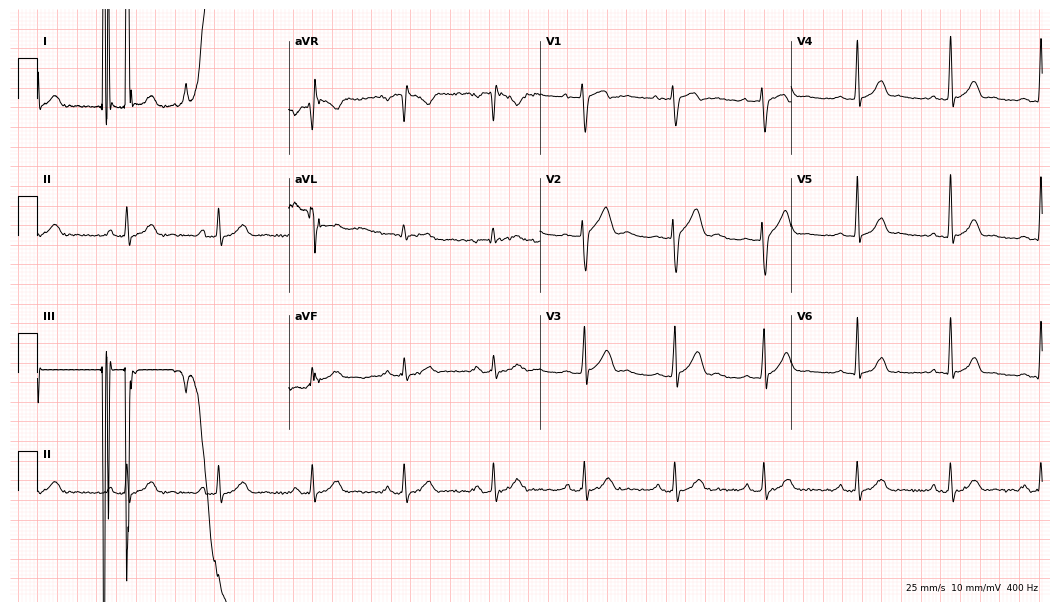
Resting 12-lead electrocardiogram (10.2-second recording at 400 Hz). Patient: a man, 25 years old. None of these six findings is recorded: first-degree AV block, right bundle branch block (RBBB), left bundle branch block (LBBB), sinus bradycardia, atrial fibrillation (AF), sinus tachycardia. Only these six findings were labelled.